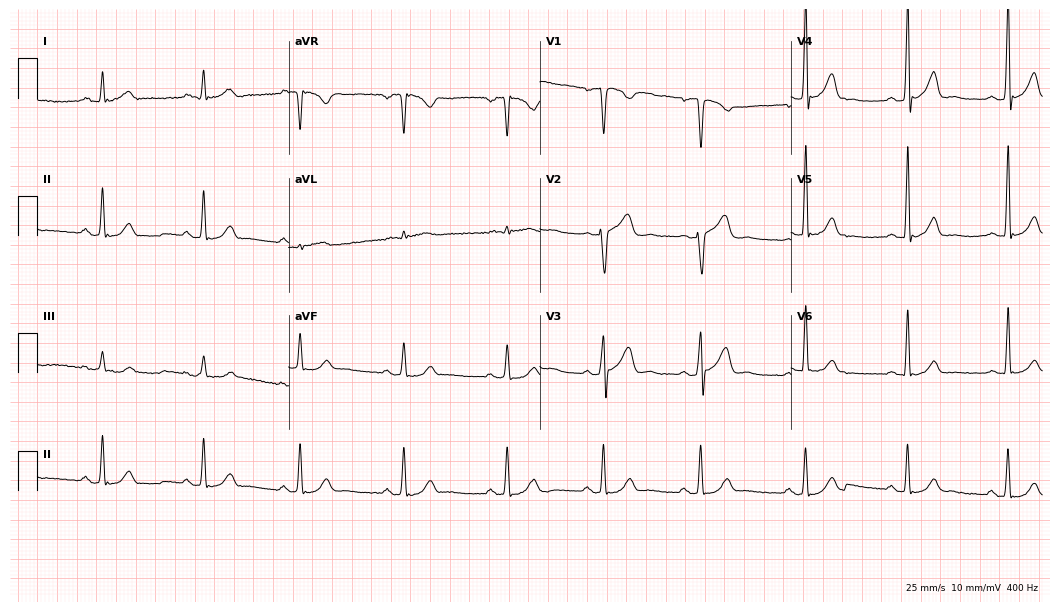
Standard 12-lead ECG recorded from a man, 33 years old. Read as a normal ECG.